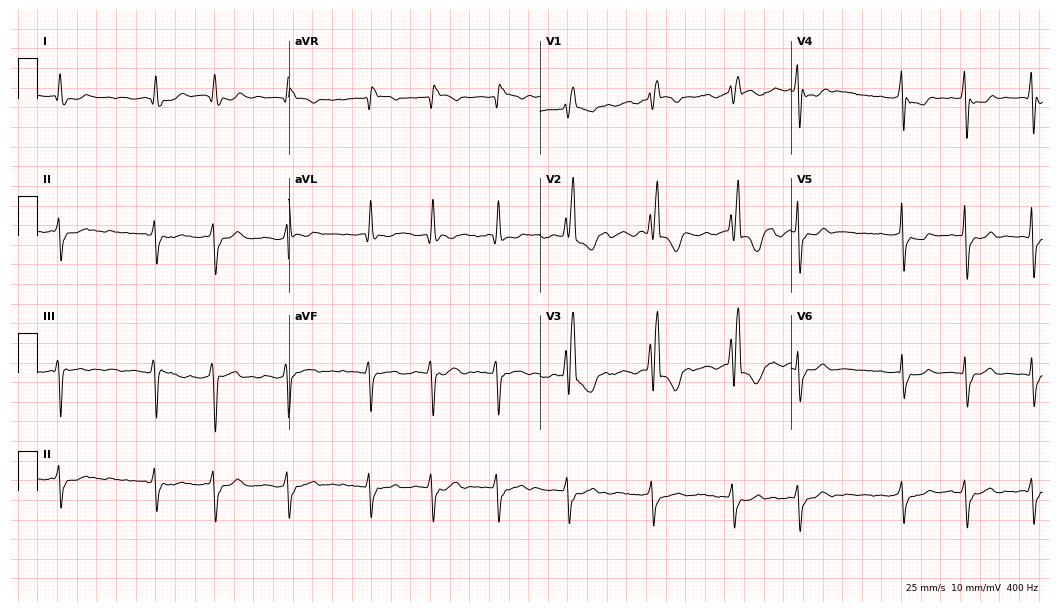
Electrocardiogram, a female patient, 82 years old. Interpretation includes right bundle branch block (RBBB), atrial fibrillation (AF).